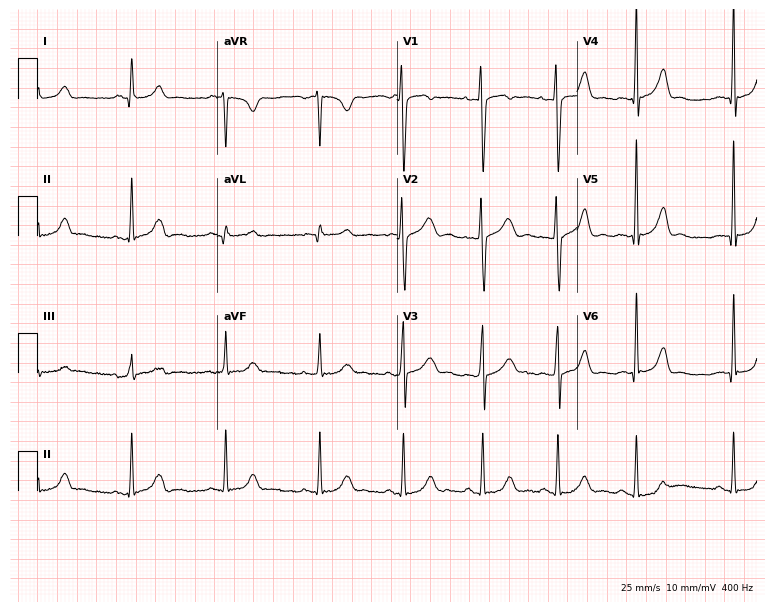
Resting 12-lead electrocardiogram (7.3-second recording at 400 Hz). Patient: a woman, 23 years old. None of these six findings is recorded: first-degree AV block, right bundle branch block, left bundle branch block, sinus bradycardia, atrial fibrillation, sinus tachycardia.